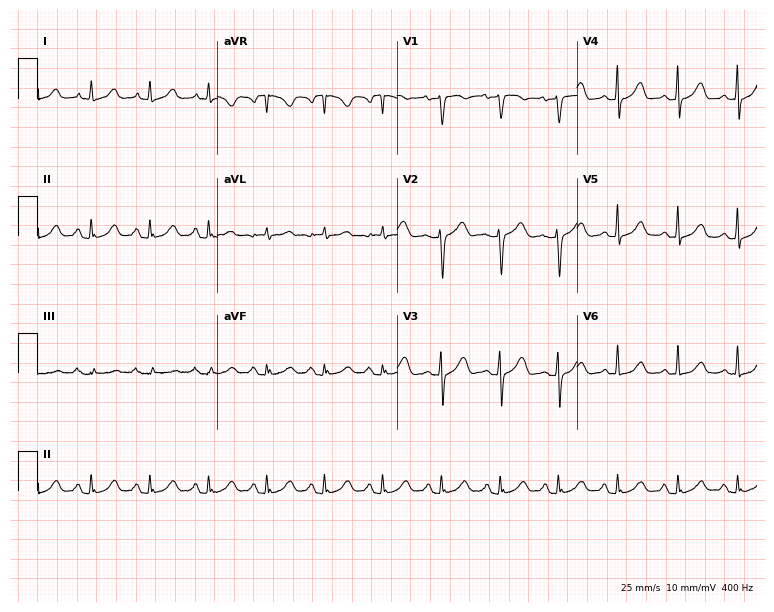
Electrocardiogram (7.3-second recording at 400 Hz), a woman, 55 years old. Interpretation includes sinus tachycardia (a sinus rate of 100 beats per minute or more).